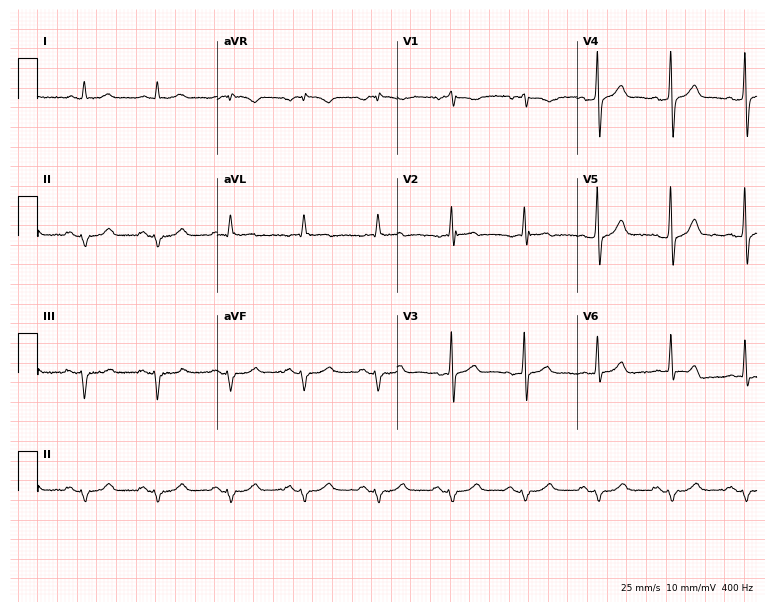
12-lead ECG from a man, 69 years old. No first-degree AV block, right bundle branch block, left bundle branch block, sinus bradycardia, atrial fibrillation or sinus tachycardia recorded for this tracing.